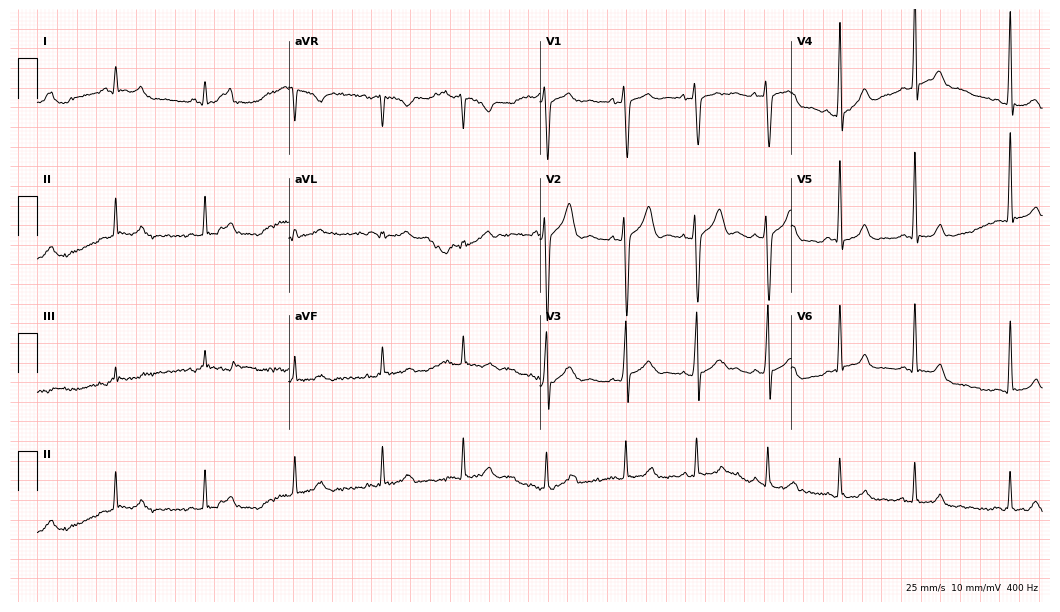
12-lead ECG (10.2-second recording at 400 Hz) from a male patient, 24 years old. Labelled as a normal ECG.